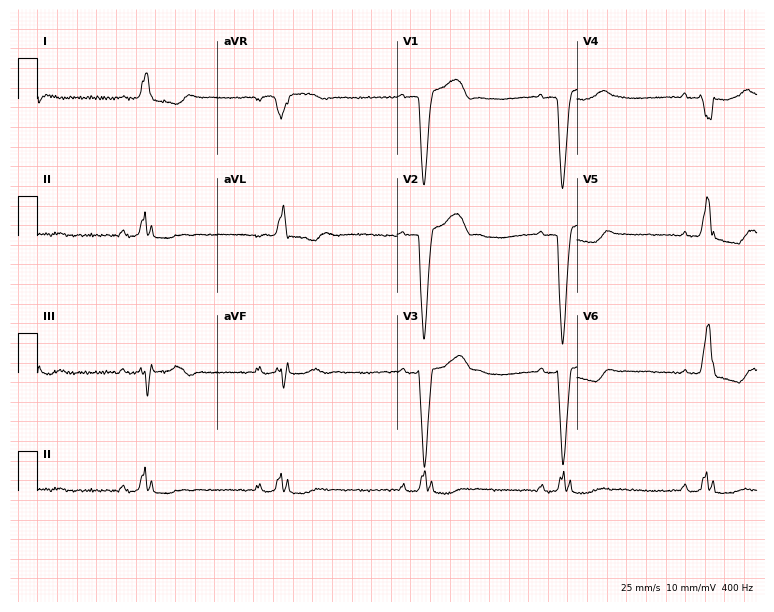
12-lead ECG from a 75-year-old male patient. Findings include left bundle branch block (LBBB), sinus bradycardia (a sinus rate of 50 beats per minute or less).